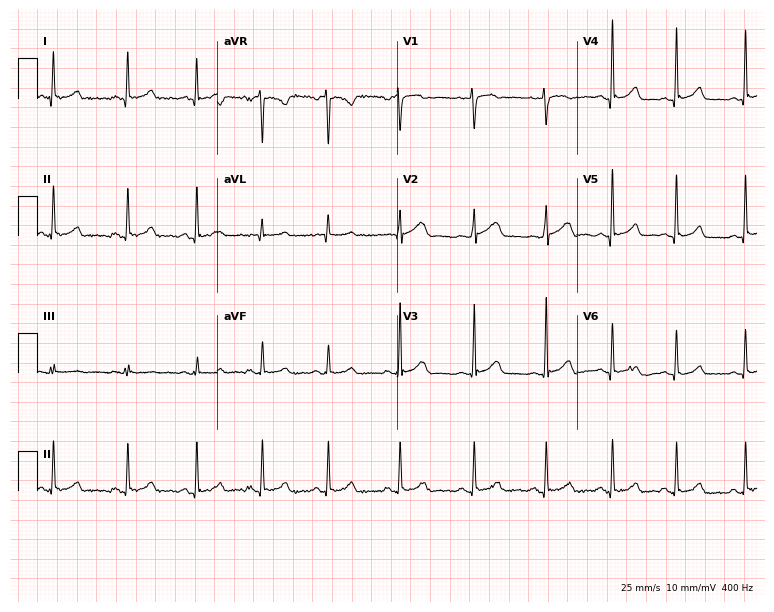
12-lead ECG from a 31-year-old woman. Screened for six findings — first-degree AV block, right bundle branch block, left bundle branch block, sinus bradycardia, atrial fibrillation, sinus tachycardia — none is recorded.